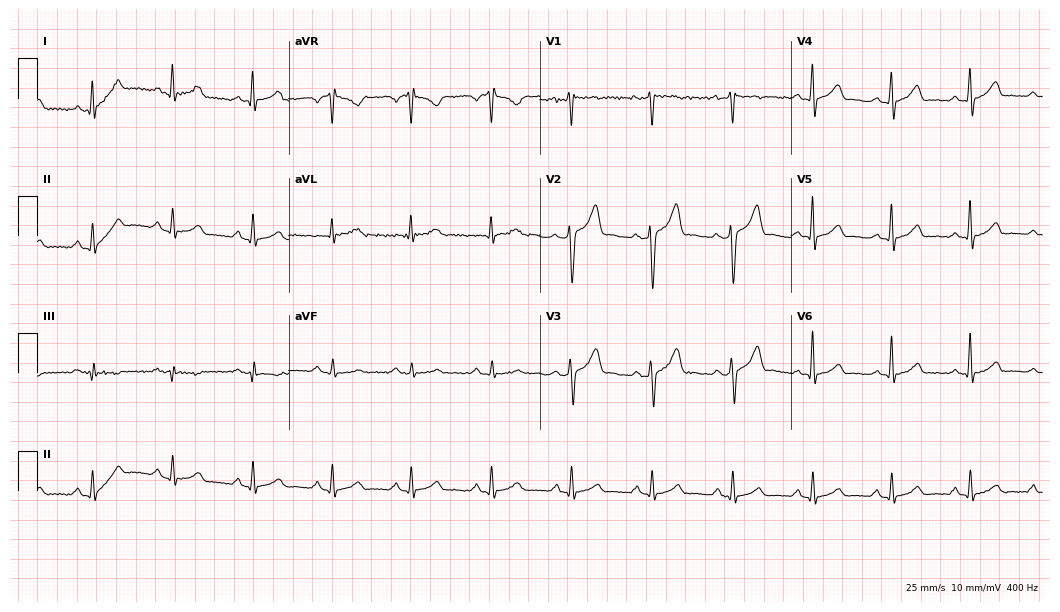
Standard 12-lead ECG recorded from a 42-year-old man. Read as a normal ECG.